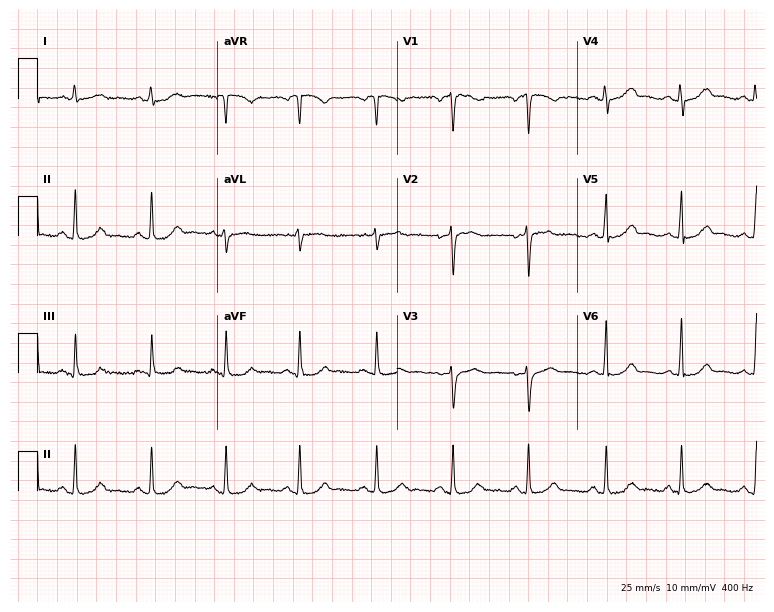
Electrocardiogram (7.3-second recording at 400 Hz), a female patient, 31 years old. Overall reading on record: normal ECG.